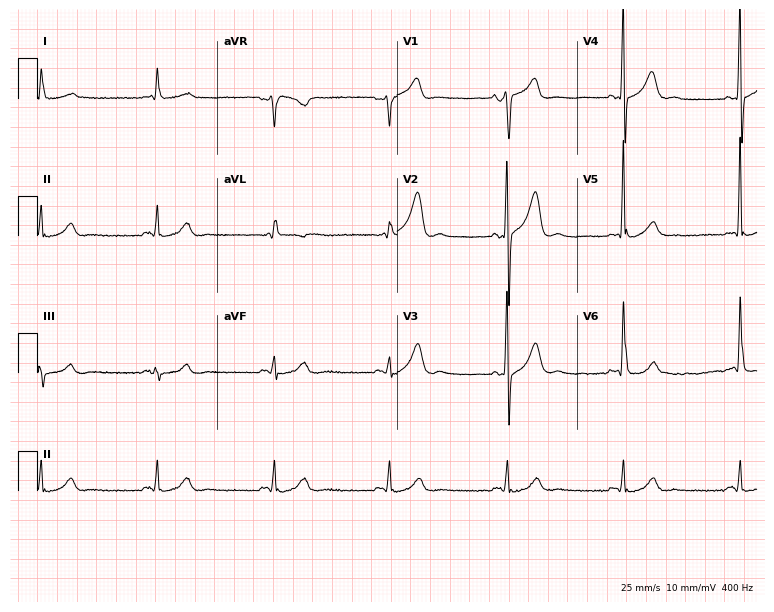
ECG — a 60-year-old man. Labelled as a normal ECG.